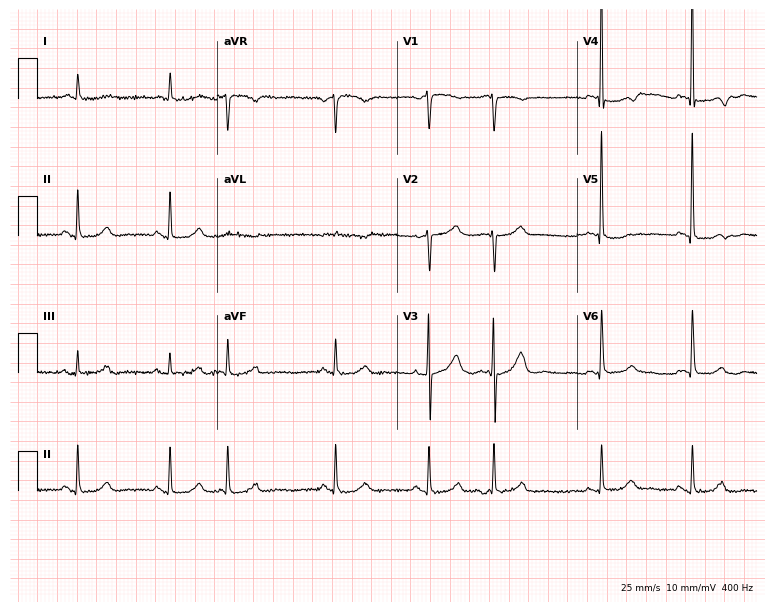
Electrocardiogram (7.3-second recording at 400 Hz), an 86-year-old female. Of the six screened findings (first-degree AV block, right bundle branch block (RBBB), left bundle branch block (LBBB), sinus bradycardia, atrial fibrillation (AF), sinus tachycardia), none is recorded.